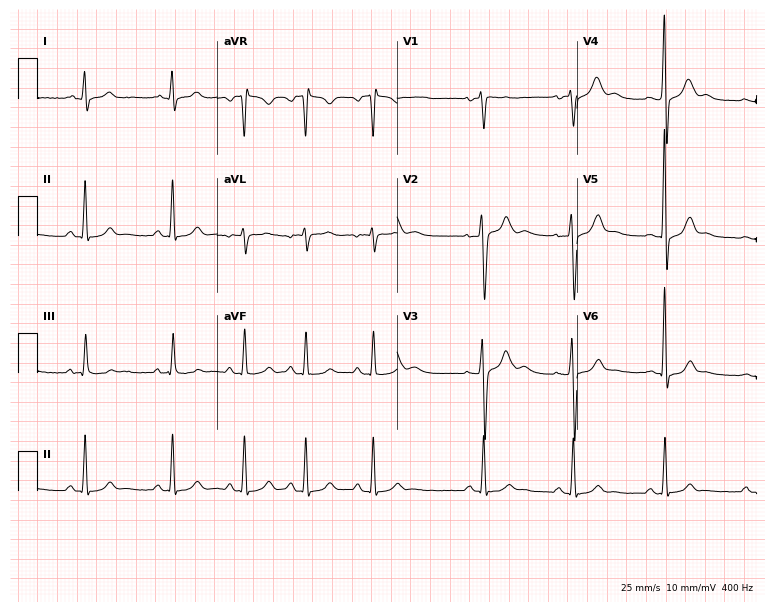
12-lead ECG from a 20-year-old male patient. Screened for six findings — first-degree AV block, right bundle branch block, left bundle branch block, sinus bradycardia, atrial fibrillation, sinus tachycardia — none is recorded.